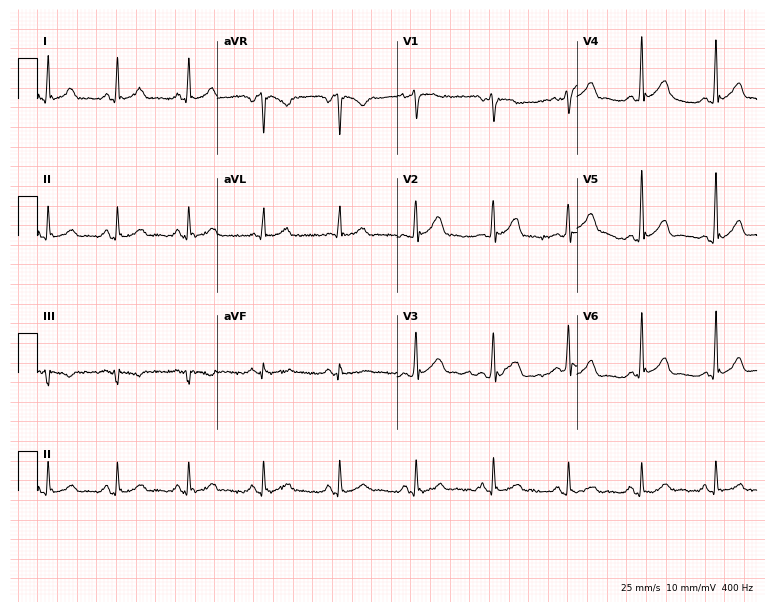
12-lead ECG from a male patient, 47 years old. Screened for six findings — first-degree AV block, right bundle branch block, left bundle branch block, sinus bradycardia, atrial fibrillation, sinus tachycardia — none is recorded. Findings outside these six are not listed.